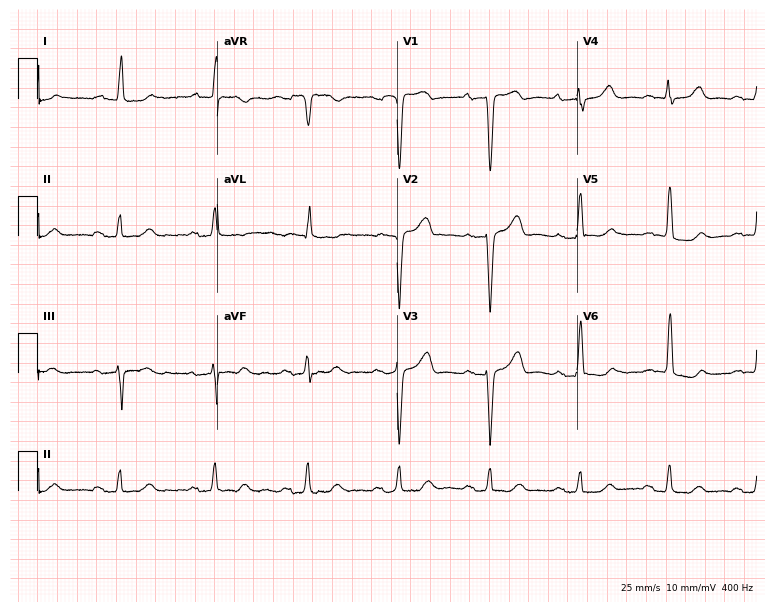
12-lead ECG (7.3-second recording at 400 Hz) from a woman, 72 years old. Findings include first-degree AV block.